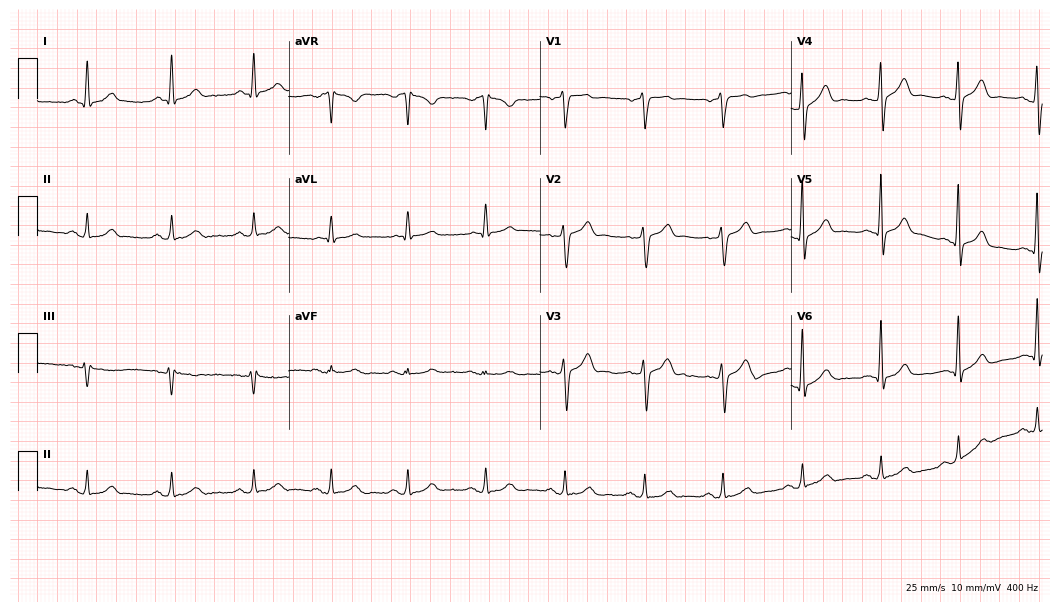
Standard 12-lead ECG recorded from a 54-year-old male (10.2-second recording at 400 Hz). None of these six findings is recorded: first-degree AV block, right bundle branch block (RBBB), left bundle branch block (LBBB), sinus bradycardia, atrial fibrillation (AF), sinus tachycardia. Other findings, if any, are not listed.